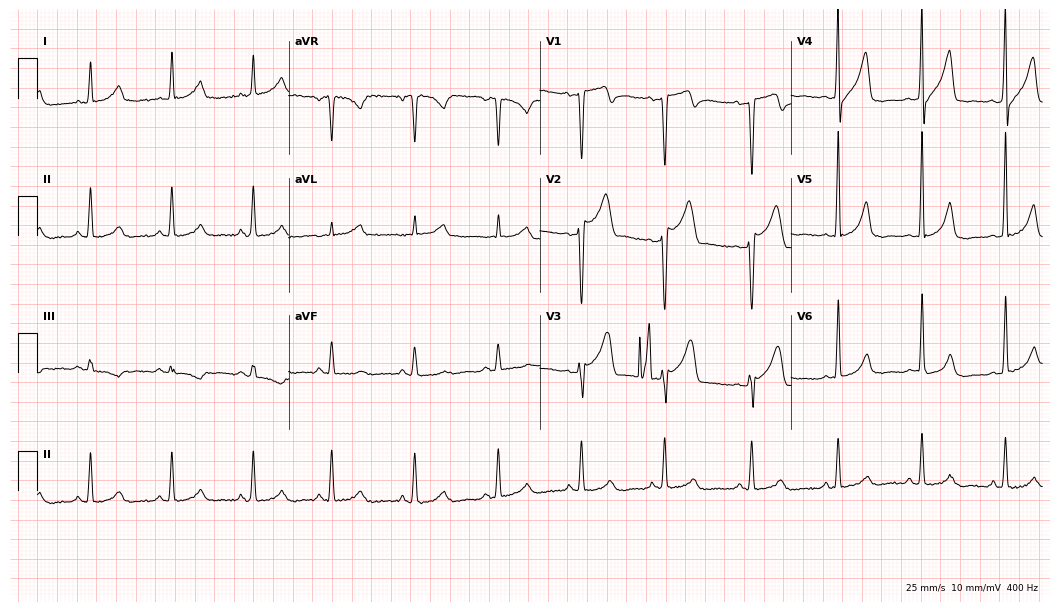
12-lead ECG from a 52-year-old male. No first-degree AV block, right bundle branch block, left bundle branch block, sinus bradycardia, atrial fibrillation or sinus tachycardia recorded for this tracing. Findings outside these six are not listed.